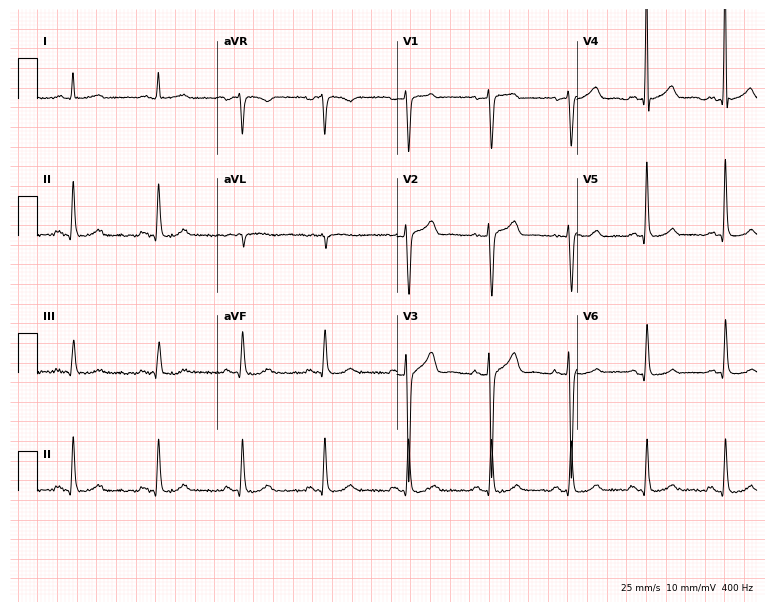
12-lead ECG (7.3-second recording at 400 Hz) from a 46-year-old male patient. Labelled as a normal ECG.